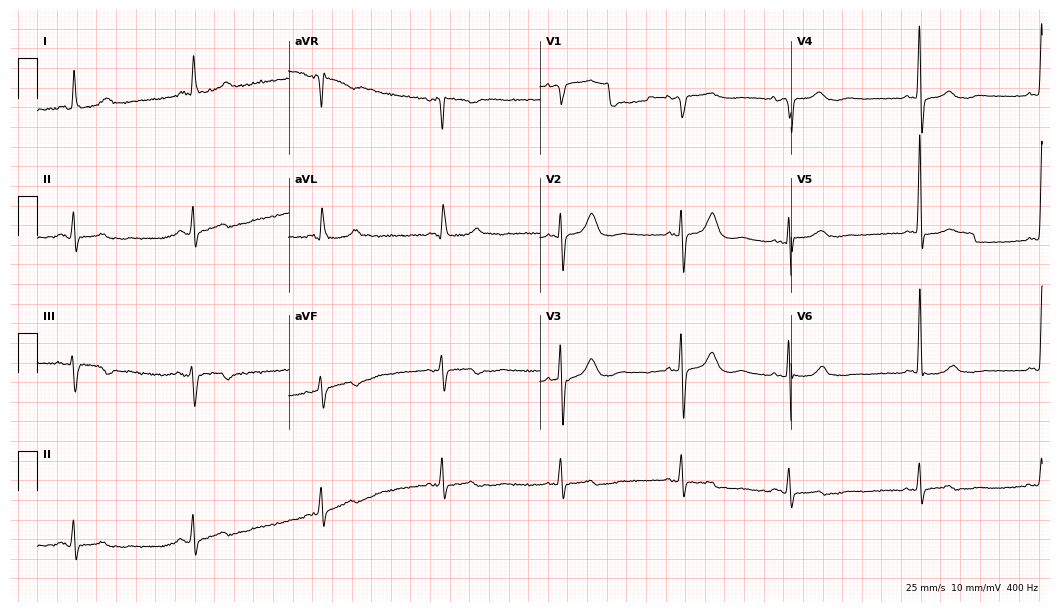
12-lead ECG from a female patient, 82 years old. Findings include right bundle branch block.